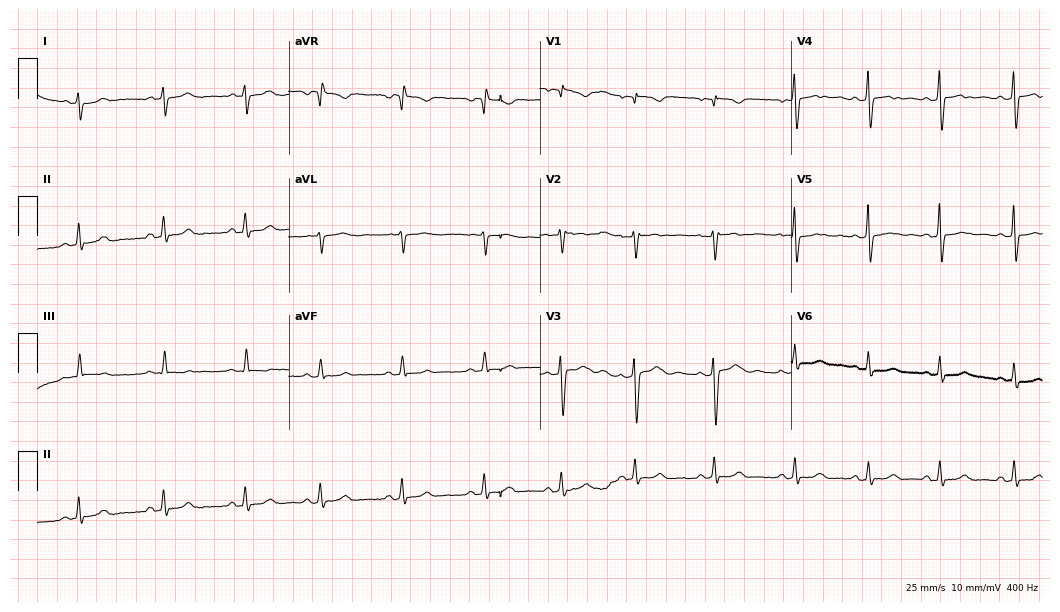
12-lead ECG from a female patient, 20 years old. Screened for six findings — first-degree AV block, right bundle branch block, left bundle branch block, sinus bradycardia, atrial fibrillation, sinus tachycardia — none is recorded.